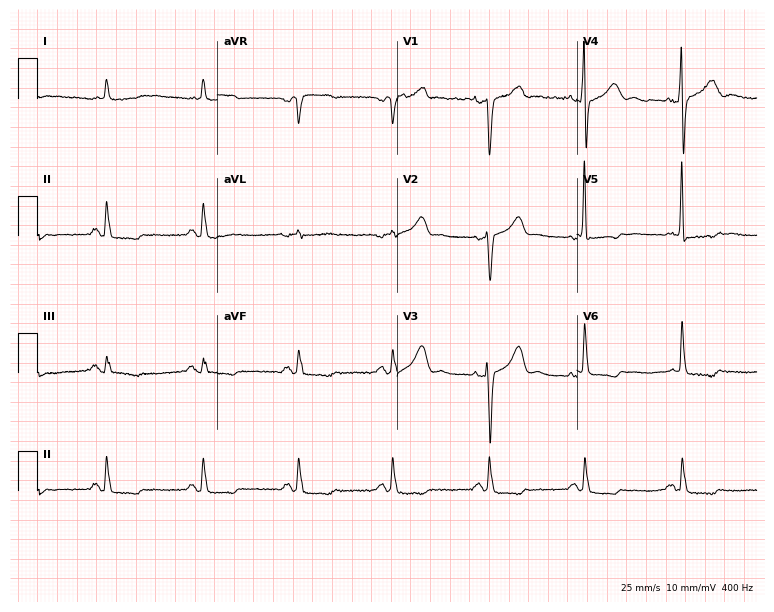
Electrocardiogram (7.3-second recording at 400 Hz), a male patient, 81 years old. Of the six screened findings (first-degree AV block, right bundle branch block (RBBB), left bundle branch block (LBBB), sinus bradycardia, atrial fibrillation (AF), sinus tachycardia), none is recorded.